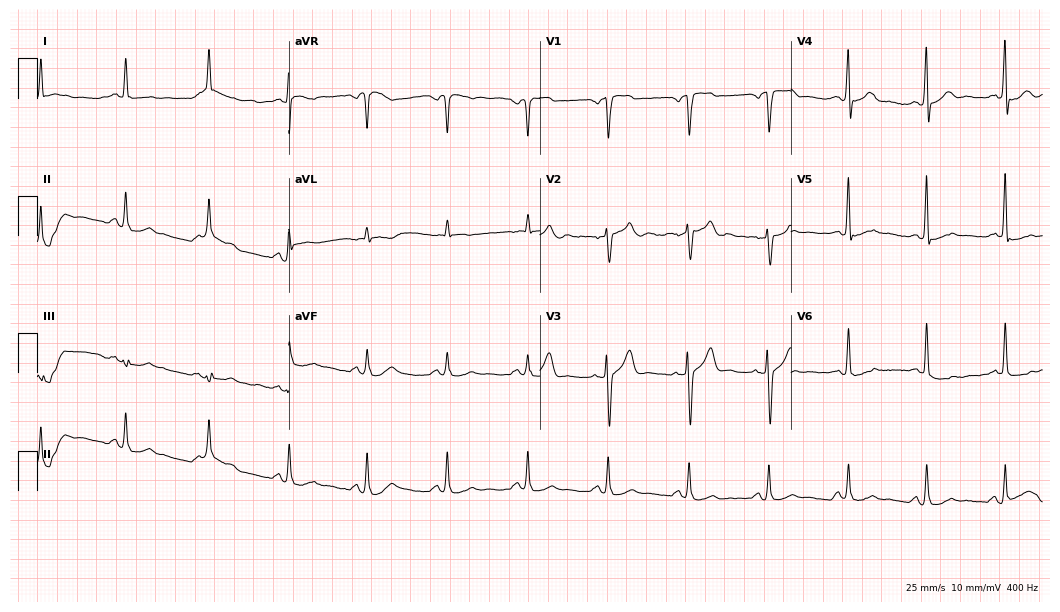
Electrocardiogram (10.2-second recording at 400 Hz), a male patient, 62 years old. Overall reading on record: normal ECG.